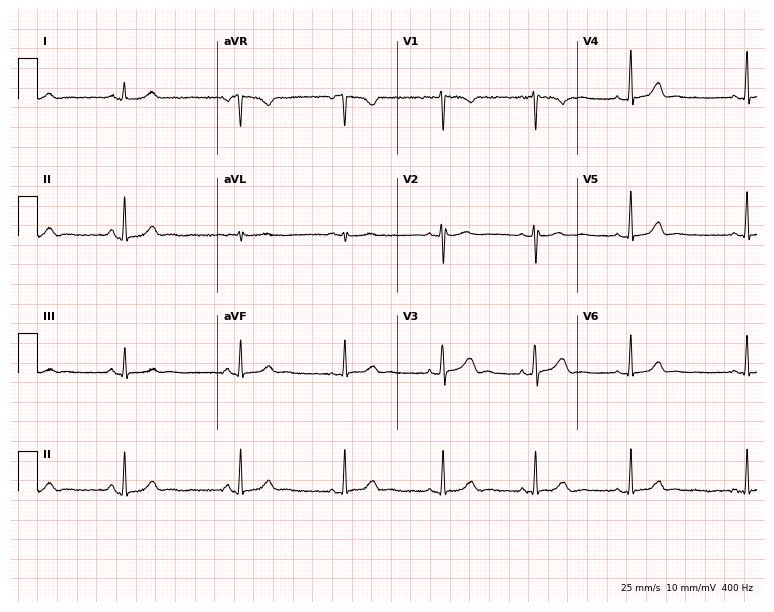
Electrocardiogram (7.3-second recording at 400 Hz), a 22-year-old female patient. Overall reading on record: normal ECG.